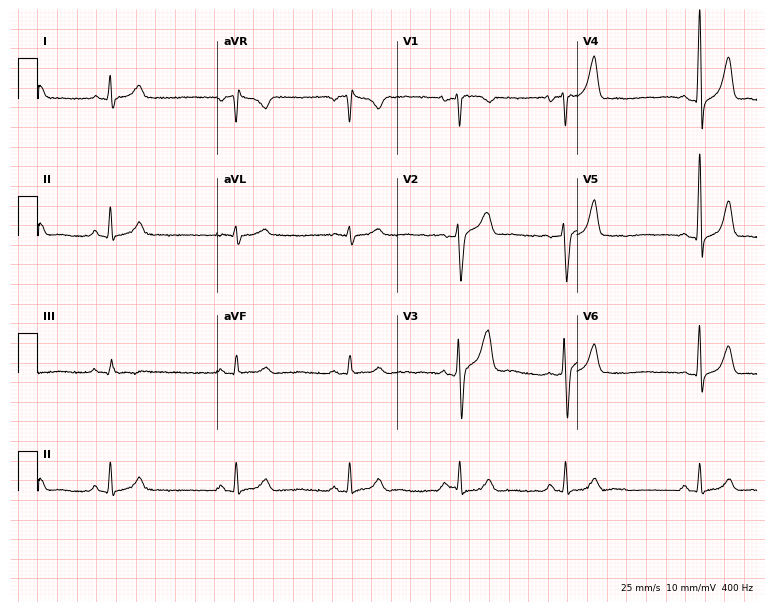
Resting 12-lead electrocardiogram (7.3-second recording at 400 Hz). Patient: a man, 39 years old. Read as a normal ECG.